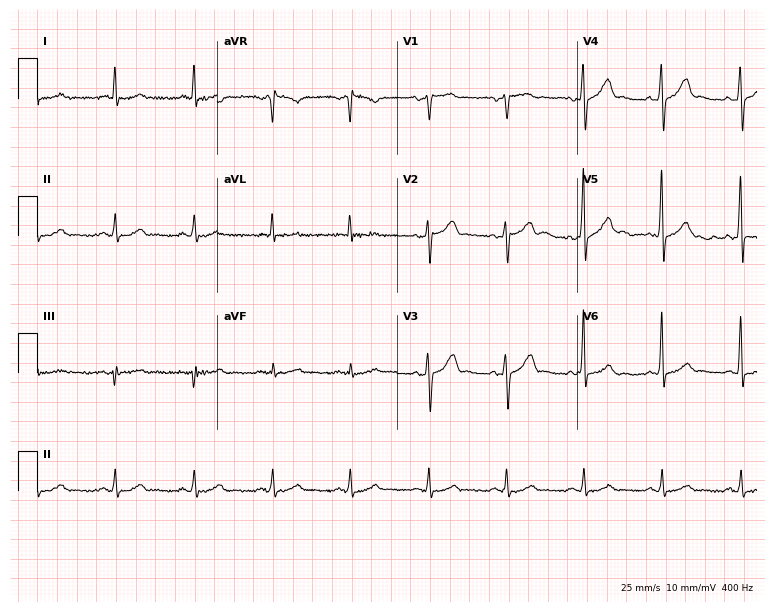
12-lead ECG from a man, 63 years old. Labelled as a normal ECG.